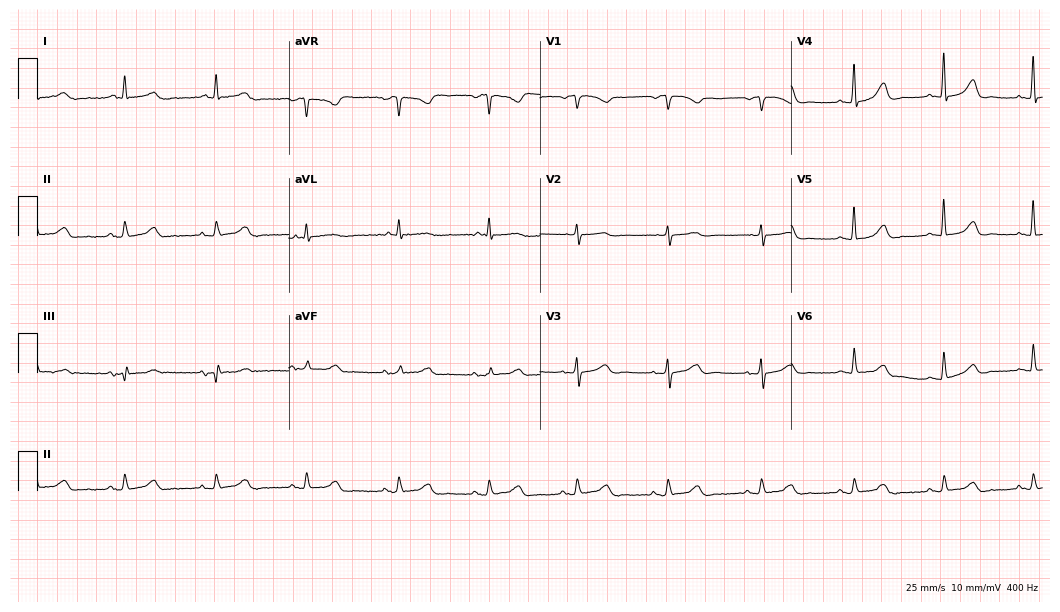
12-lead ECG from a female, 81 years old. Labelled as a normal ECG.